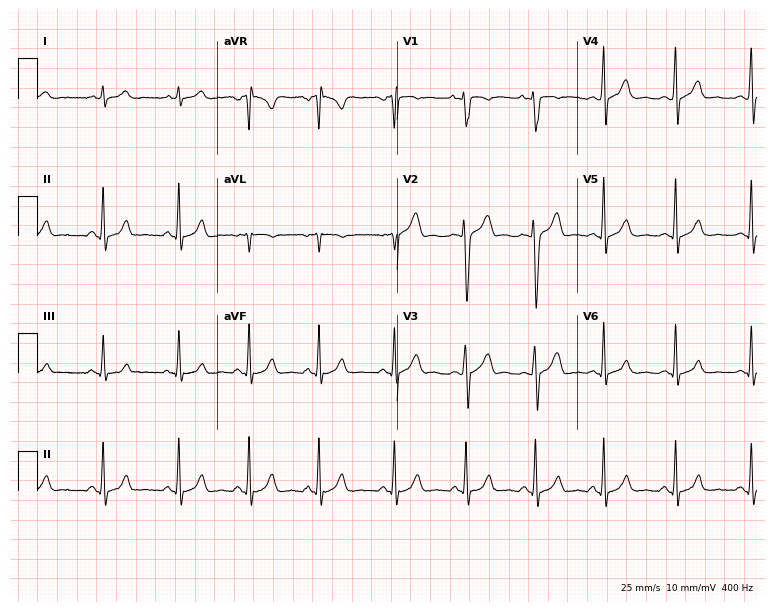
12-lead ECG from a 24-year-old man. Recorded interpretation: within normal limits.